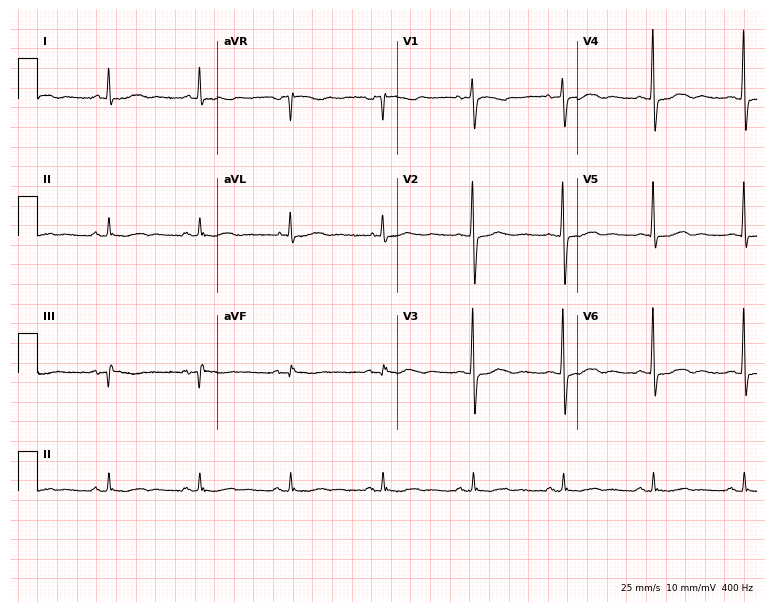
Electrocardiogram (7.3-second recording at 400 Hz), a female patient, 78 years old. Of the six screened findings (first-degree AV block, right bundle branch block, left bundle branch block, sinus bradycardia, atrial fibrillation, sinus tachycardia), none is recorded.